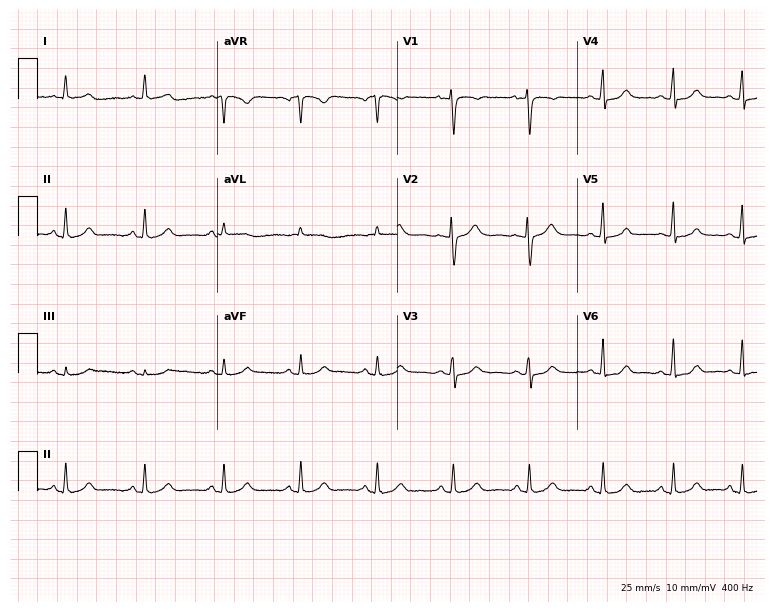
Standard 12-lead ECG recorded from a female, 60 years old. Read as a normal ECG.